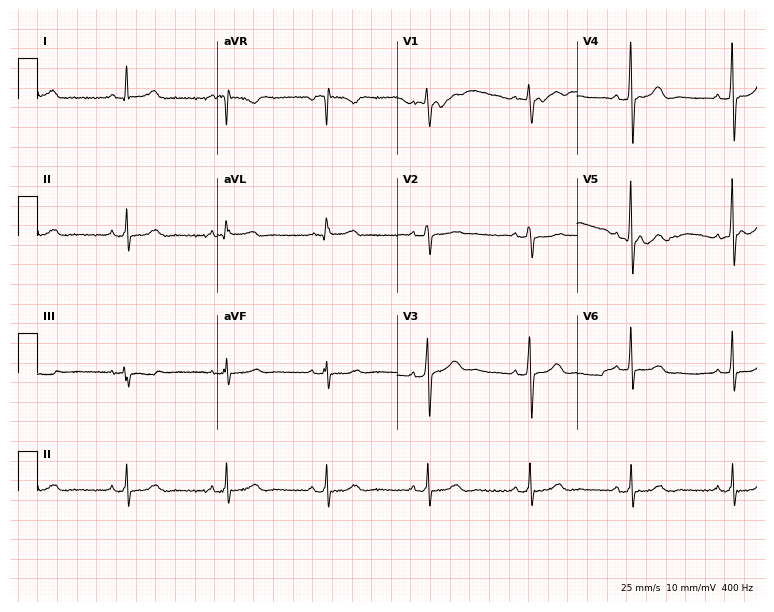
12-lead ECG from a male patient, 77 years old. Recorded interpretation: within normal limits.